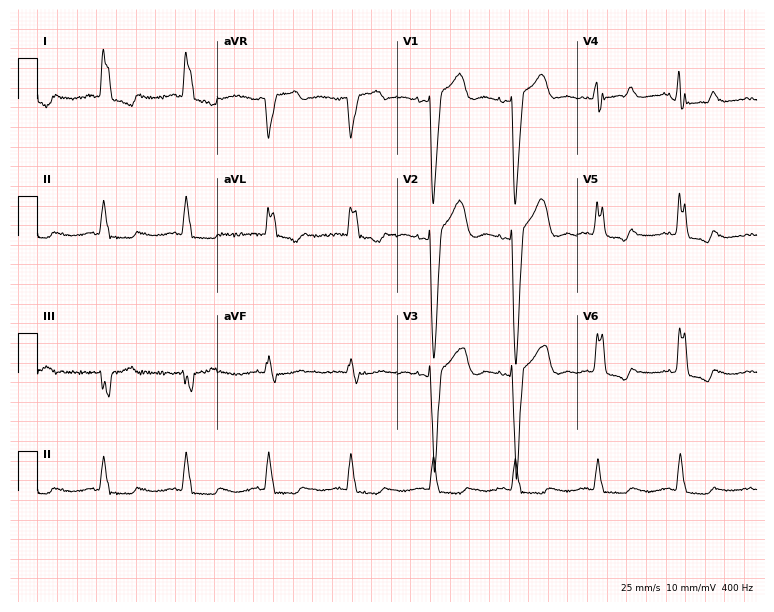
ECG (7.3-second recording at 400 Hz) — a 68-year-old female patient. Findings include left bundle branch block.